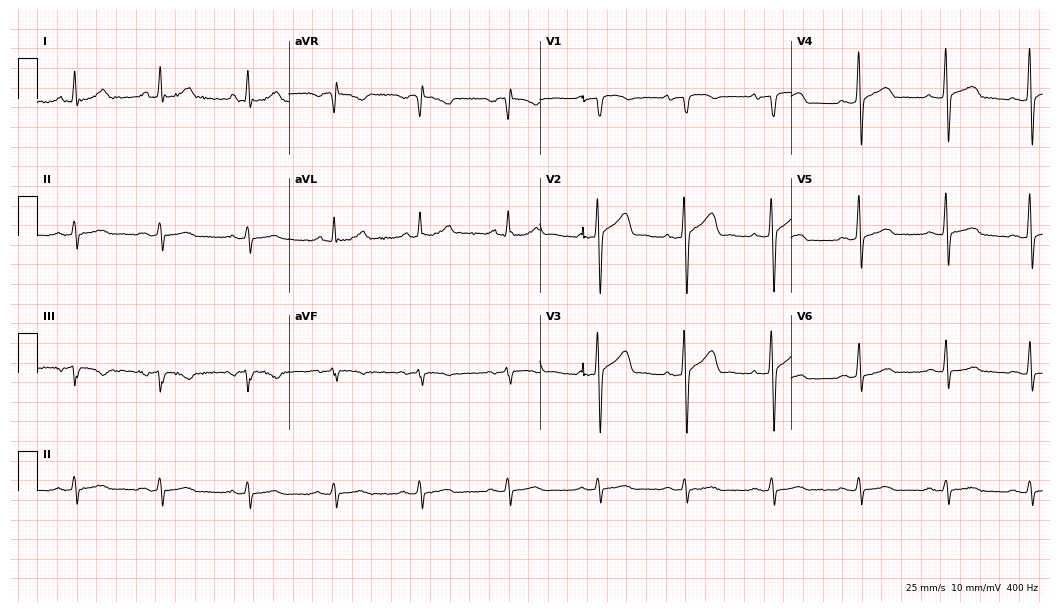
ECG (10.2-second recording at 400 Hz) — a male, 47 years old. Screened for six findings — first-degree AV block, right bundle branch block, left bundle branch block, sinus bradycardia, atrial fibrillation, sinus tachycardia — none is recorded.